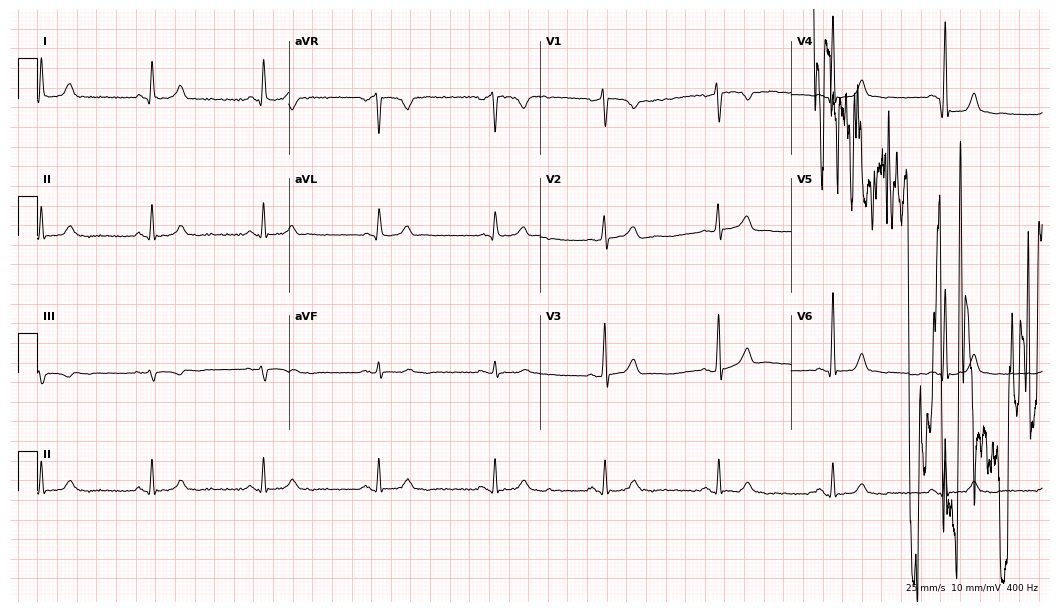
Resting 12-lead electrocardiogram. Patient: a woman, 63 years old. None of these six findings is recorded: first-degree AV block, right bundle branch block (RBBB), left bundle branch block (LBBB), sinus bradycardia, atrial fibrillation (AF), sinus tachycardia. Findings outside these six are not listed.